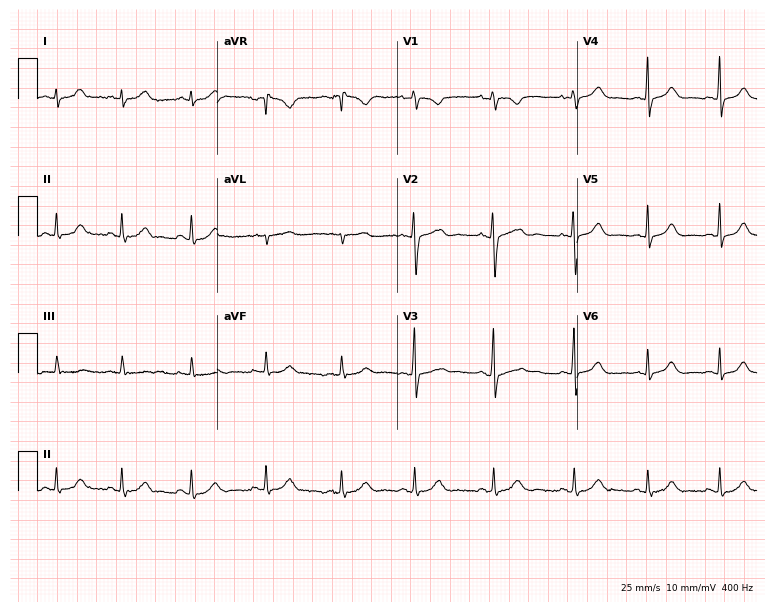
12-lead ECG from an 18-year-old woman (7.3-second recording at 400 Hz). Recorded interpretation: within normal limits.